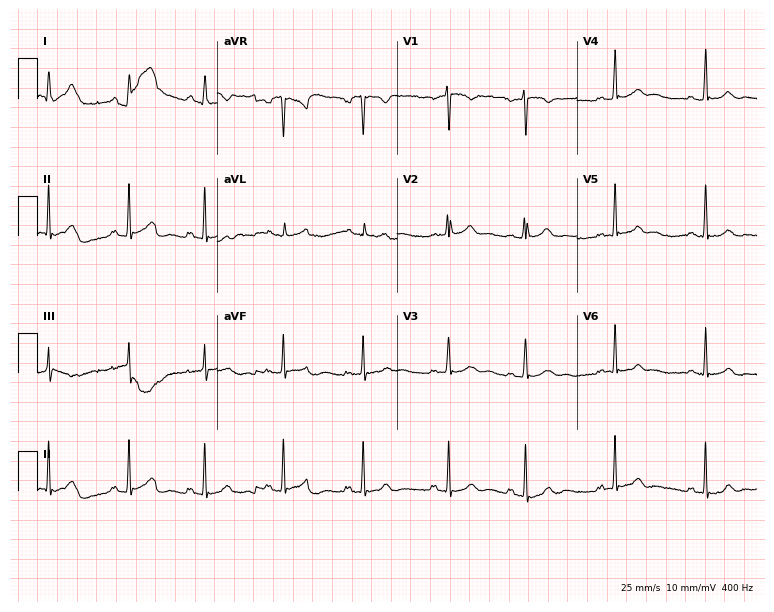
Standard 12-lead ECG recorded from a female patient, 22 years old. Read as a normal ECG.